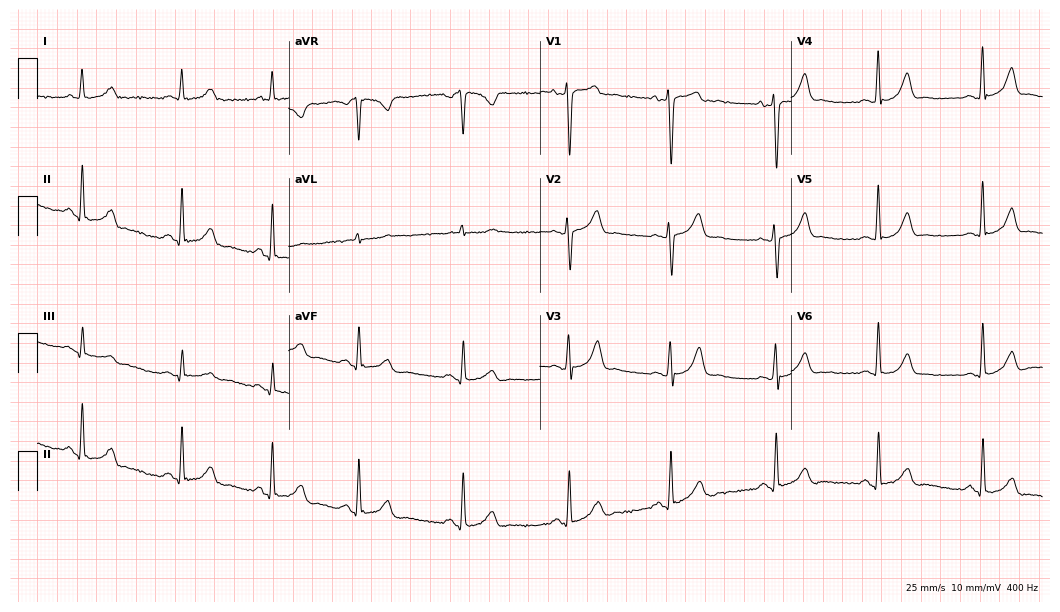
Standard 12-lead ECG recorded from a 32-year-old female. None of these six findings is recorded: first-degree AV block, right bundle branch block (RBBB), left bundle branch block (LBBB), sinus bradycardia, atrial fibrillation (AF), sinus tachycardia. Only these six findings were labelled.